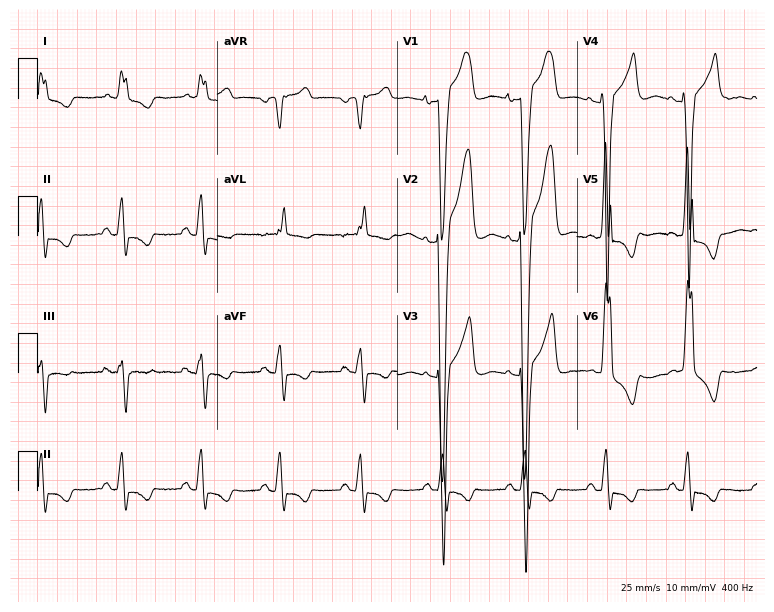
Electrocardiogram (7.3-second recording at 400 Hz), a 59-year-old man. Interpretation includes left bundle branch block (LBBB).